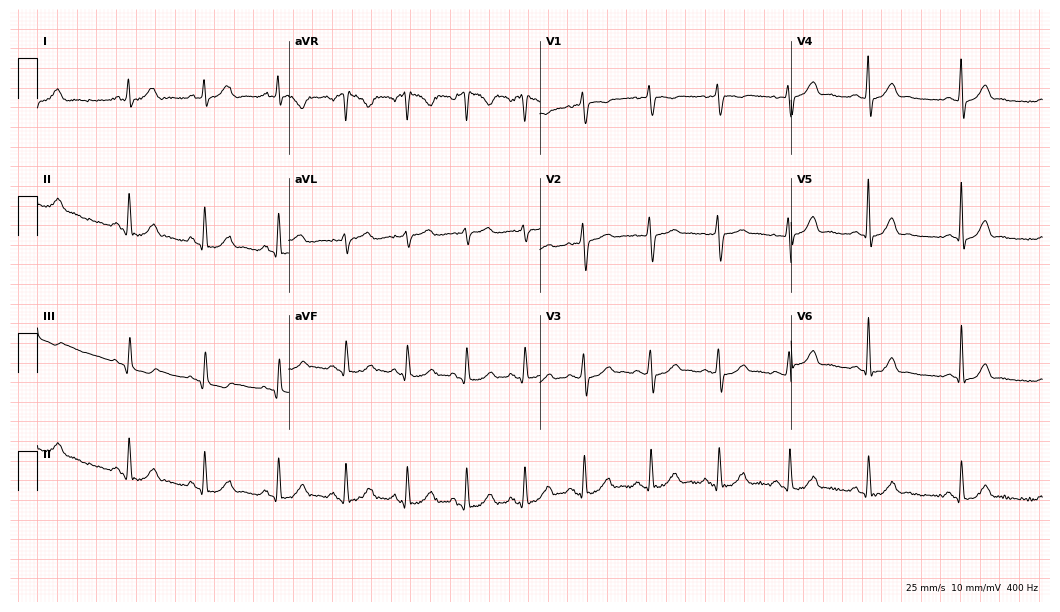
Standard 12-lead ECG recorded from a female, 25 years old. None of these six findings is recorded: first-degree AV block, right bundle branch block, left bundle branch block, sinus bradycardia, atrial fibrillation, sinus tachycardia.